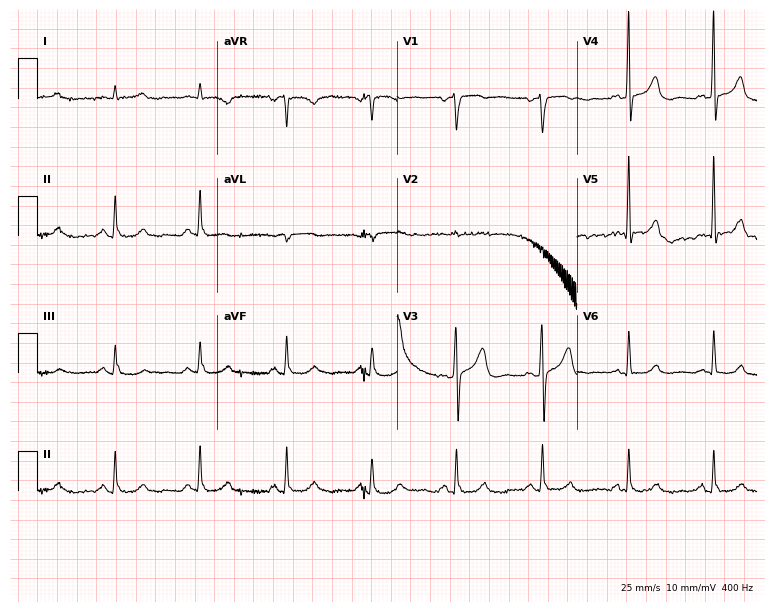
12-lead ECG from a 60-year-old male patient. No first-degree AV block, right bundle branch block, left bundle branch block, sinus bradycardia, atrial fibrillation or sinus tachycardia recorded for this tracing.